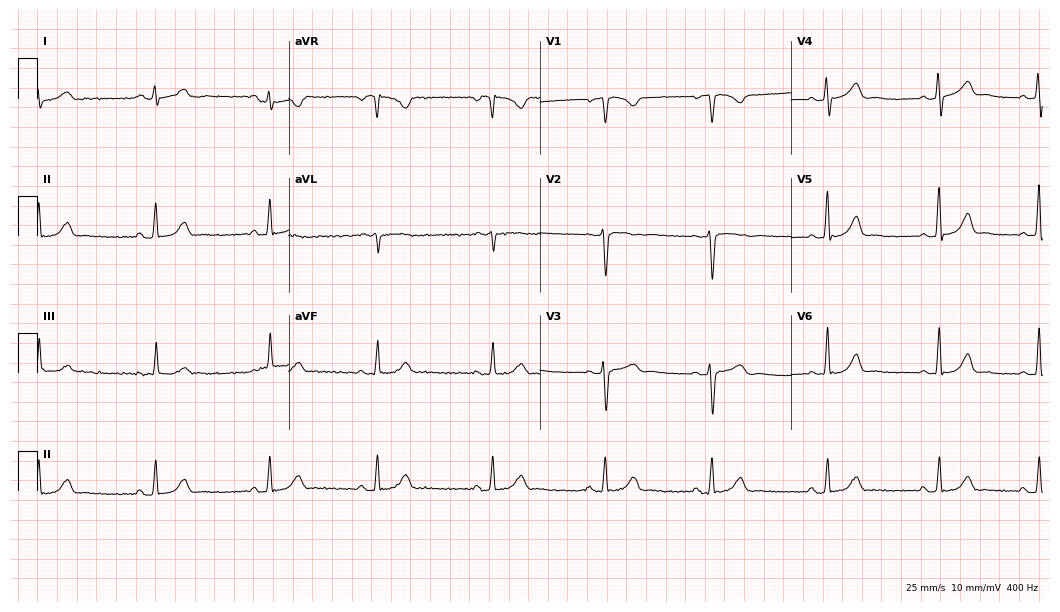
12-lead ECG from a 29-year-old female (10.2-second recording at 400 Hz). Recorded interpretation: within normal limits.